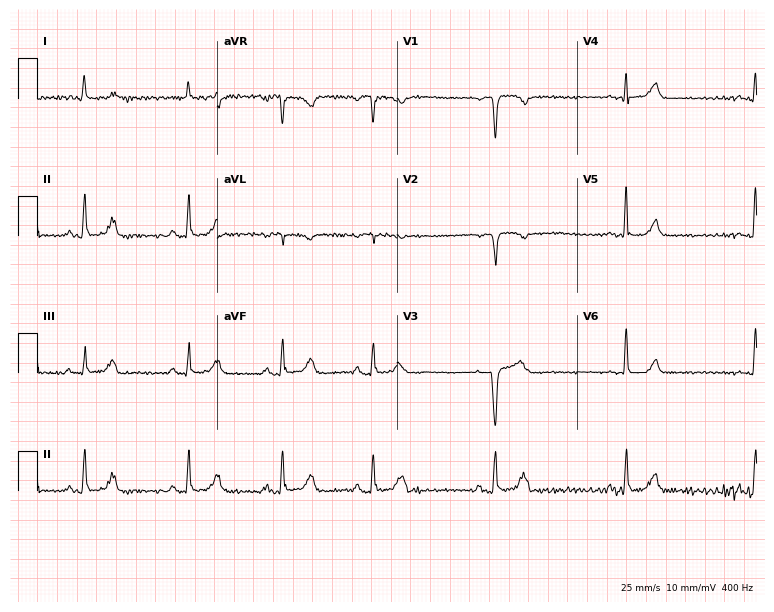
ECG (7.3-second recording at 400 Hz) — a female, 48 years old. Screened for six findings — first-degree AV block, right bundle branch block (RBBB), left bundle branch block (LBBB), sinus bradycardia, atrial fibrillation (AF), sinus tachycardia — none is recorded. Only these six findings were labelled.